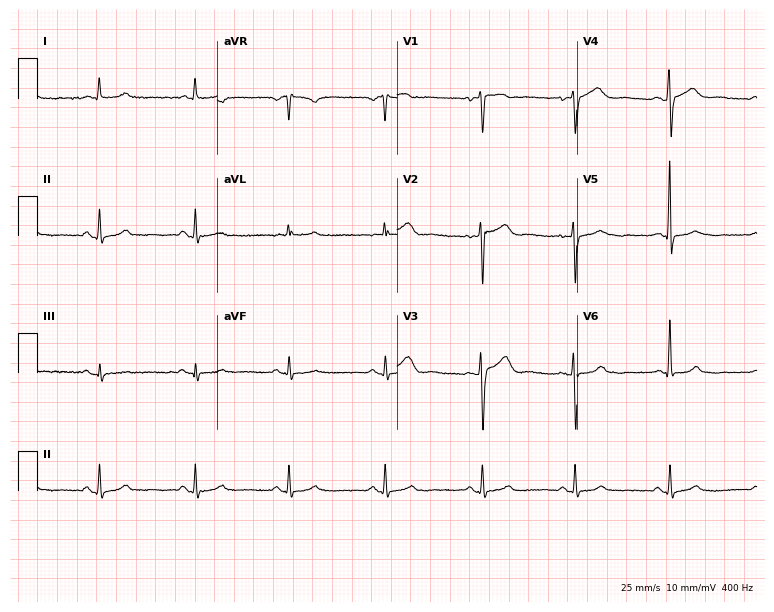
12-lead ECG (7.3-second recording at 400 Hz) from a man, 52 years old. Labelled as a normal ECG.